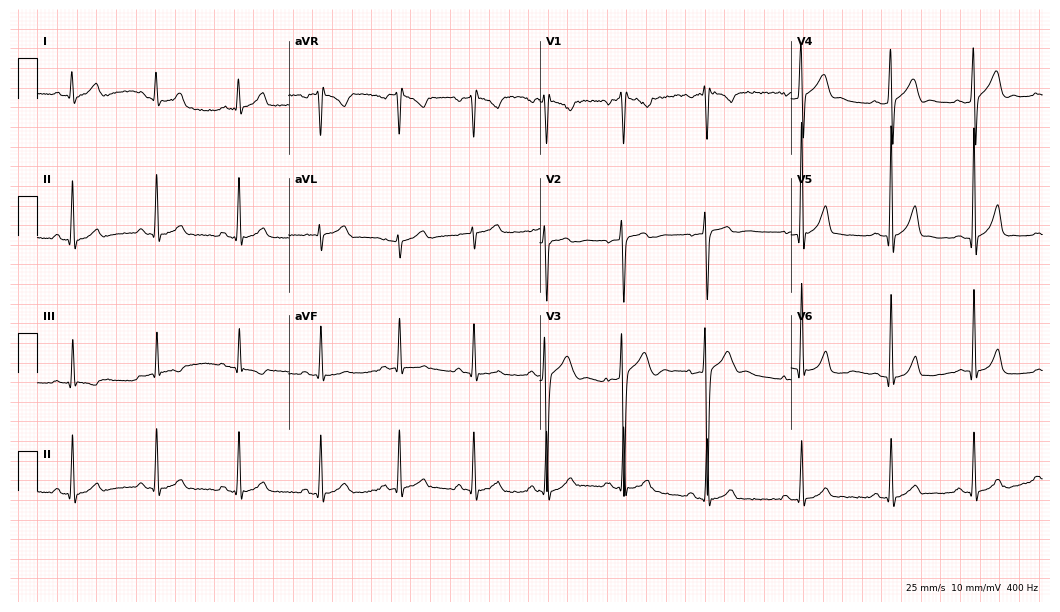
Resting 12-lead electrocardiogram (10.2-second recording at 400 Hz). Patient: a male, 20 years old. None of these six findings is recorded: first-degree AV block, right bundle branch block (RBBB), left bundle branch block (LBBB), sinus bradycardia, atrial fibrillation (AF), sinus tachycardia. Only these six findings were labelled.